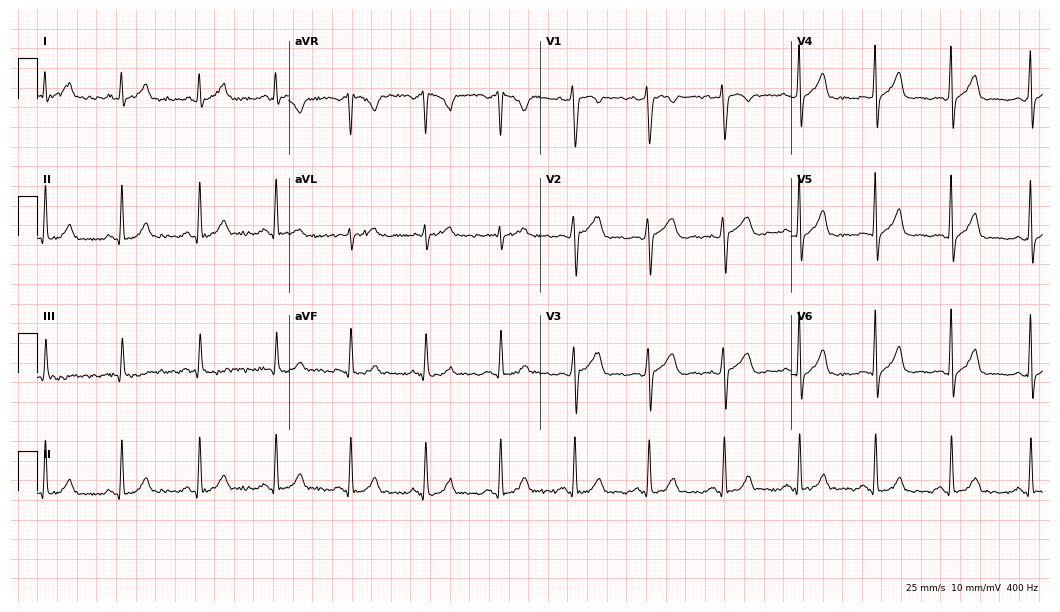
Electrocardiogram, a 31-year-old female. Of the six screened findings (first-degree AV block, right bundle branch block (RBBB), left bundle branch block (LBBB), sinus bradycardia, atrial fibrillation (AF), sinus tachycardia), none is recorded. Findings outside these six are not listed.